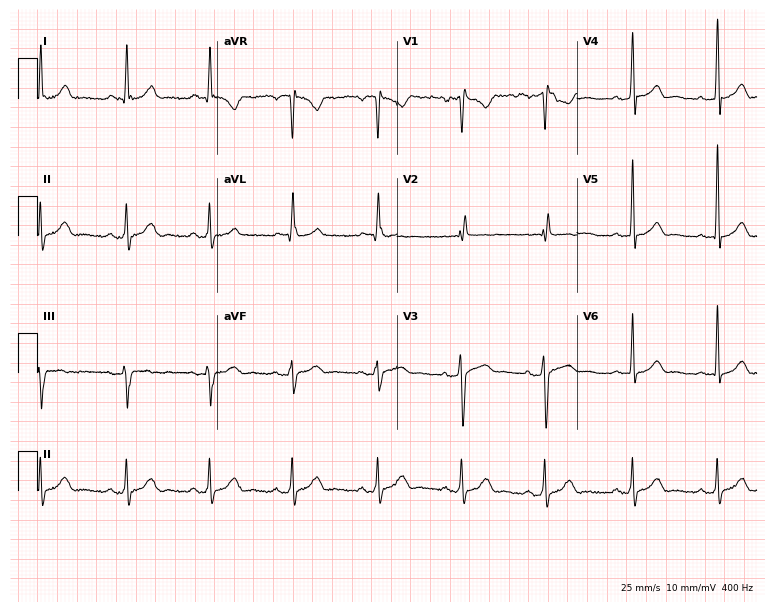
Standard 12-lead ECG recorded from a man, 55 years old. None of these six findings is recorded: first-degree AV block, right bundle branch block (RBBB), left bundle branch block (LBBB), sinus bradycardia, atrial fibrillation (AF), sinus tachycardia.